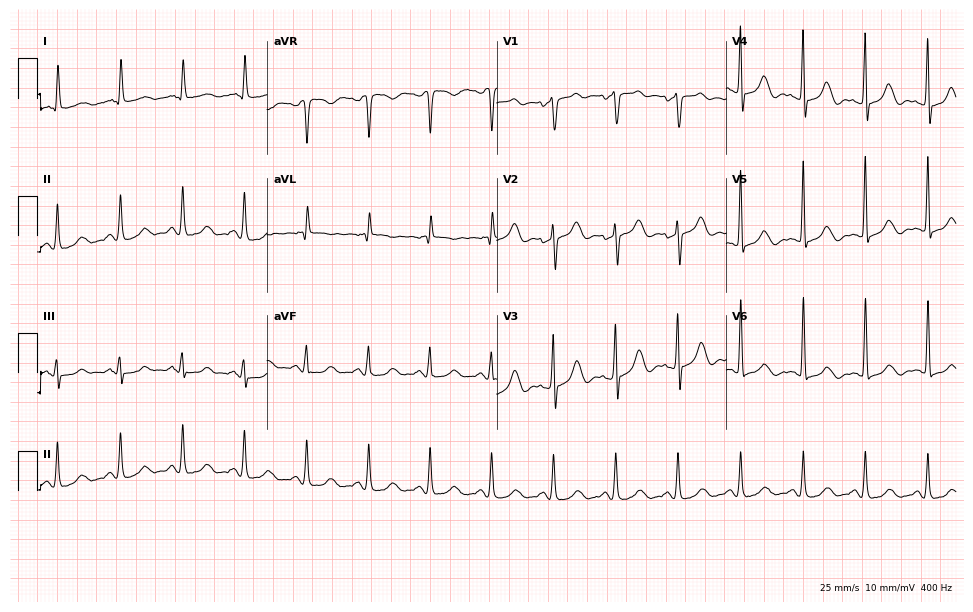
Standard 12-lead ECG recorded from a 70-year-old female patient. Read as a normal ECG.